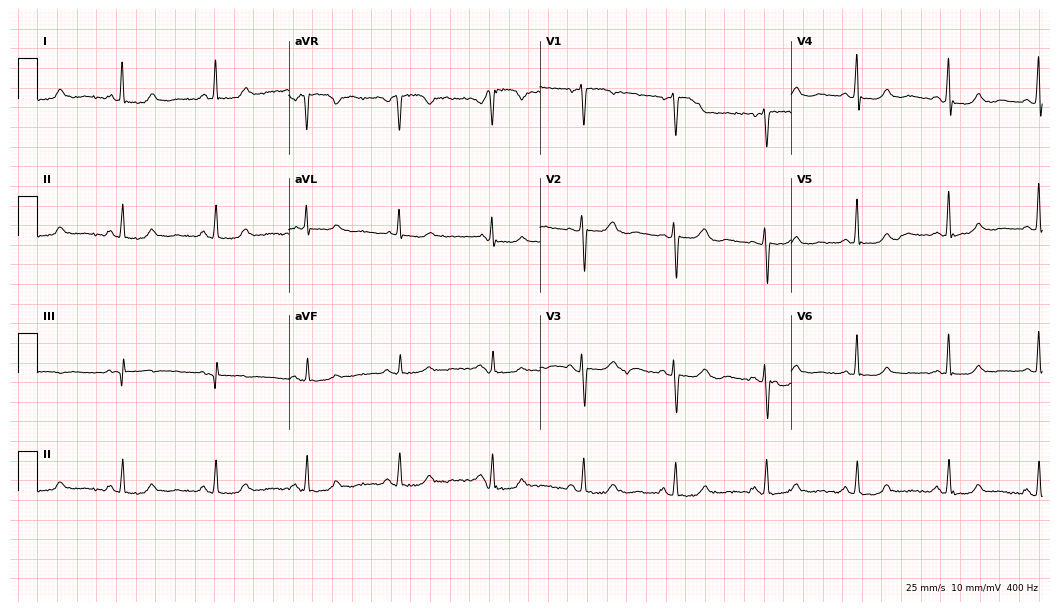
Electrocardiogram, a 70-year-old female patient. Of the six screened findings (first-degree AV block, right bundle branch block, left bundle branch block, sinus bradycardia, atrial fibrillation, sinus tachycardia), none is recorded.